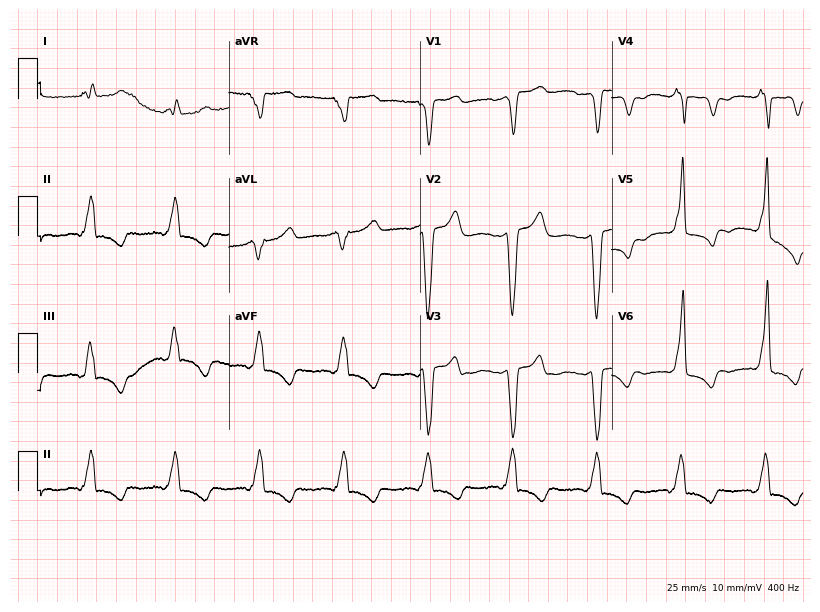
Standard 12-lead ECG recorded from a woman, 82 years old. None of these six findings is recorded: first-degree AV block, right bundle branch block, left bundle branch block, sinus bradycardia, atrial fibrillation, sinus tachycardia.